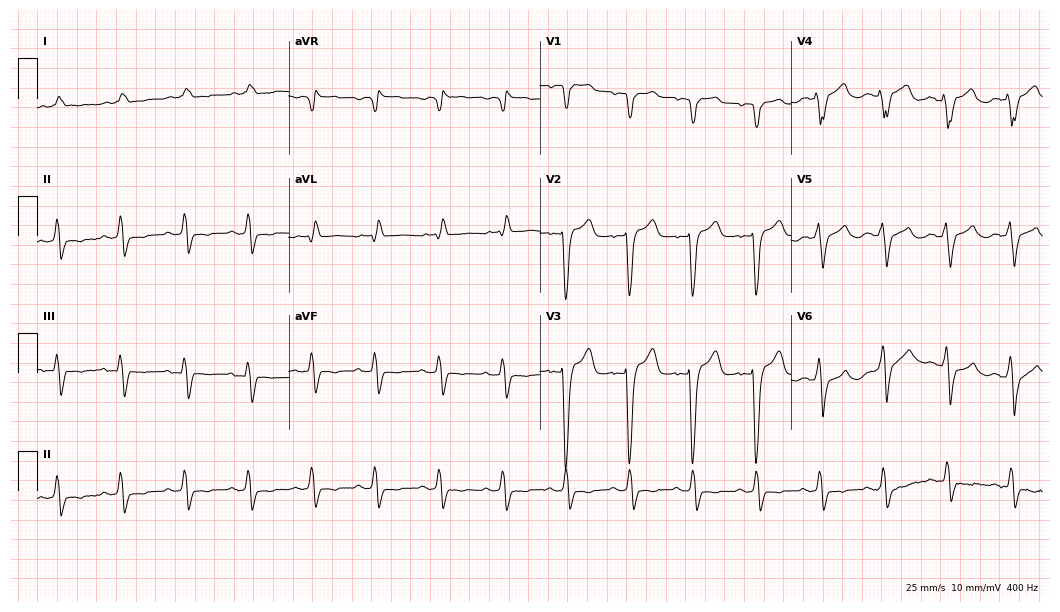
Resting 12-lead electrocardiogram (10.2-second recording at 400 Hz). Patient: a woman, 85 years old. None of these six findings is recorded: first-degree AV block, right bundle branch block, left bundle branch block, sinus bradycardia, atrial fibrillation, sinus tachycardia.